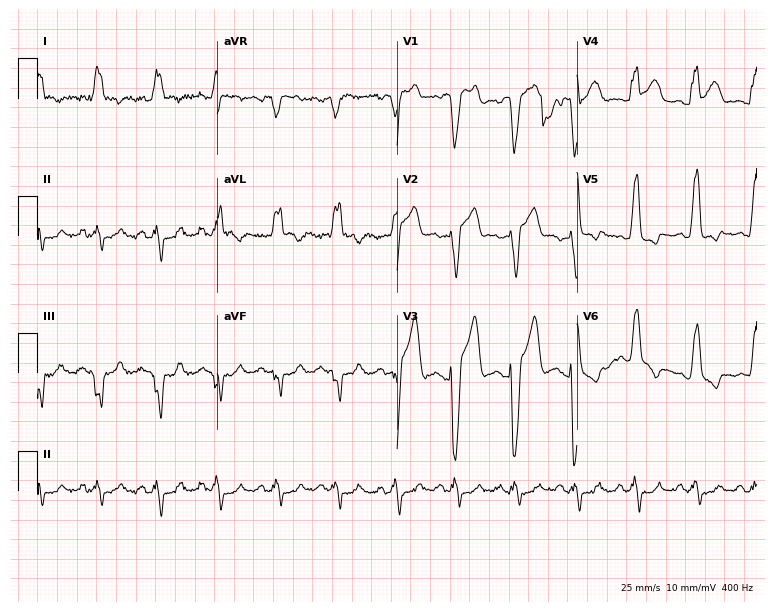
ECG (7.3-second recording at 400 Hz) — a 76-year-old male patient. Findings include left bundle branch block (LBBB).